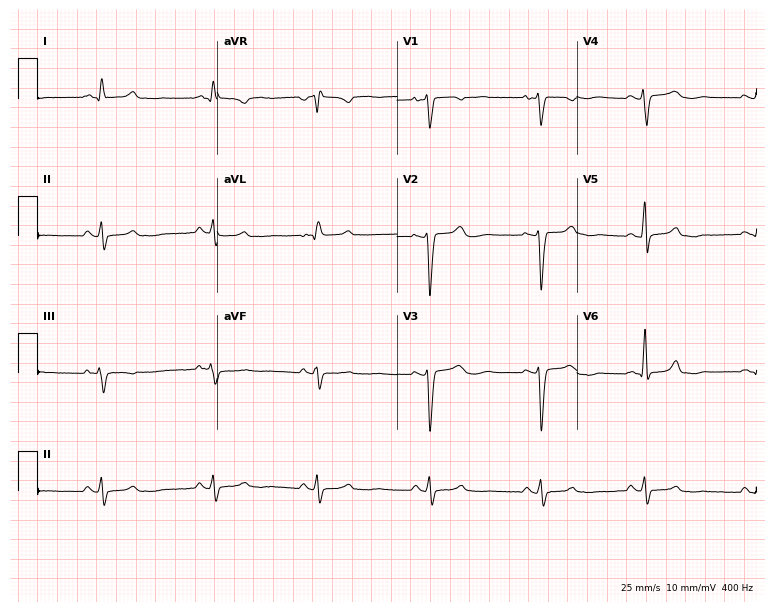
12-lead ECG from a woman, 29 years old. Shows right bundle branch block.